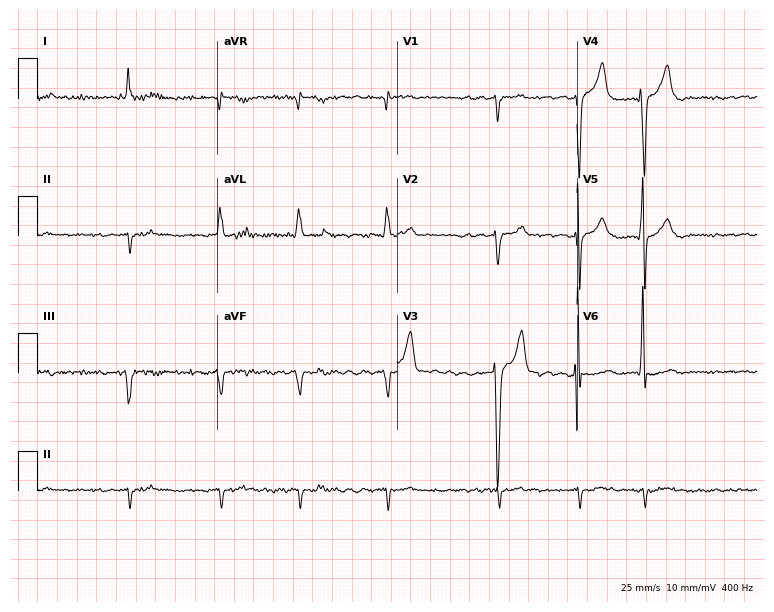
12-lead ECG (7.3-second recording at 400 Hz) from a man, 60 years old. Screened for six findings — first-degree AV block, right bundle branch block (RBBB), left bundle branch block (LBBB), sinus bradycardia, atrial fibrillation (AF), sinus tachycardia — none is recorded.